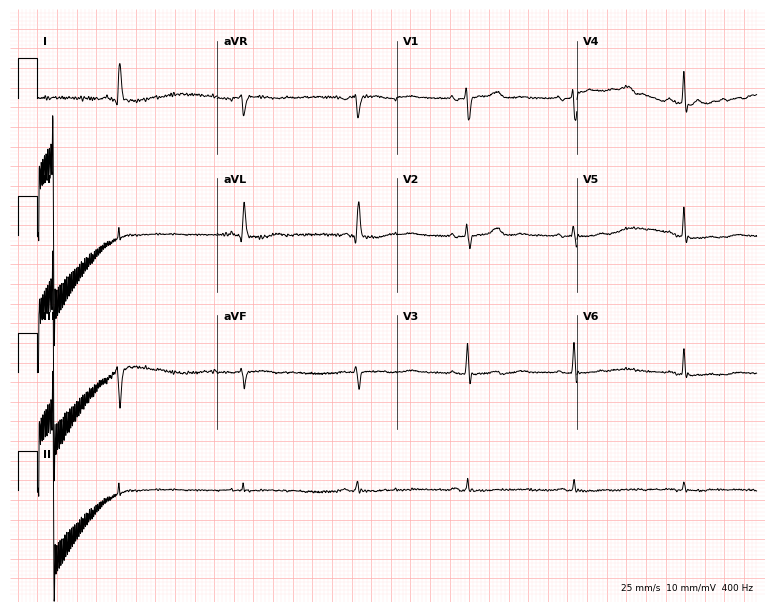
Standard 12-lead ECG recorded from a 71-year-old female patient (7.3-second recording at 400 Hz). None of these six findings is recorded: first-degree AV block, right bundle branch block, left bundle branch block, sinus bradycardia, atrial fibrillation, sinus tachycardia.